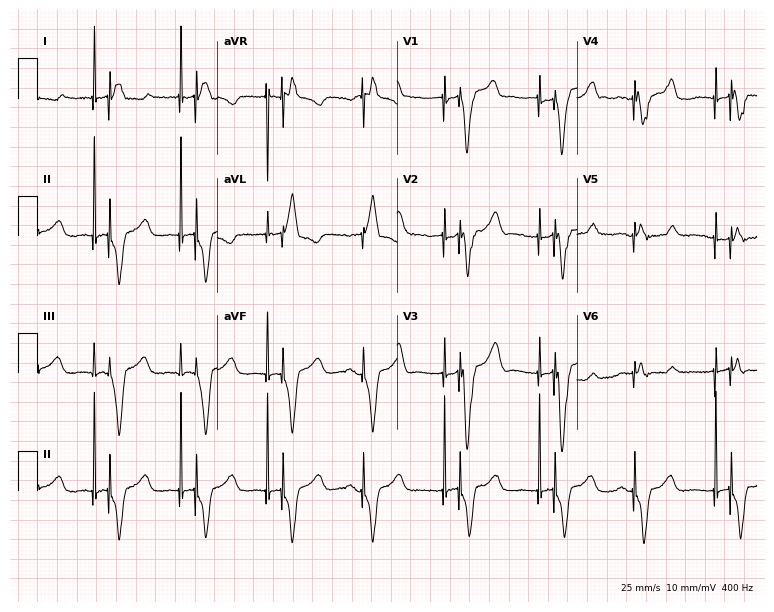
Electrocardiogram, a woman, 74 years old. Of the six screened findings (first-degree AV block, right bundle branch block, left bundle branch block, sinus bradycardia, atrial fibrillation, sinus tachycardia), none is recorded.